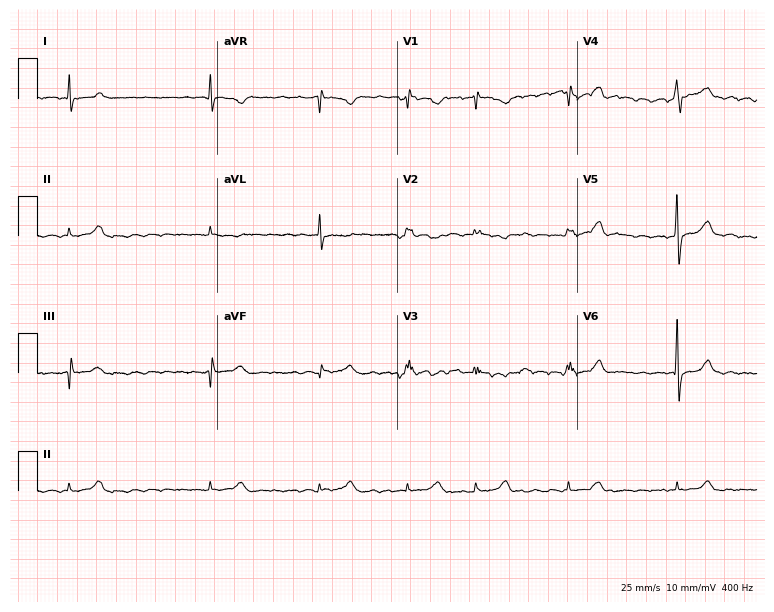
12-lead ECG from a man, 51 years old. Shows atrial fibrillation.